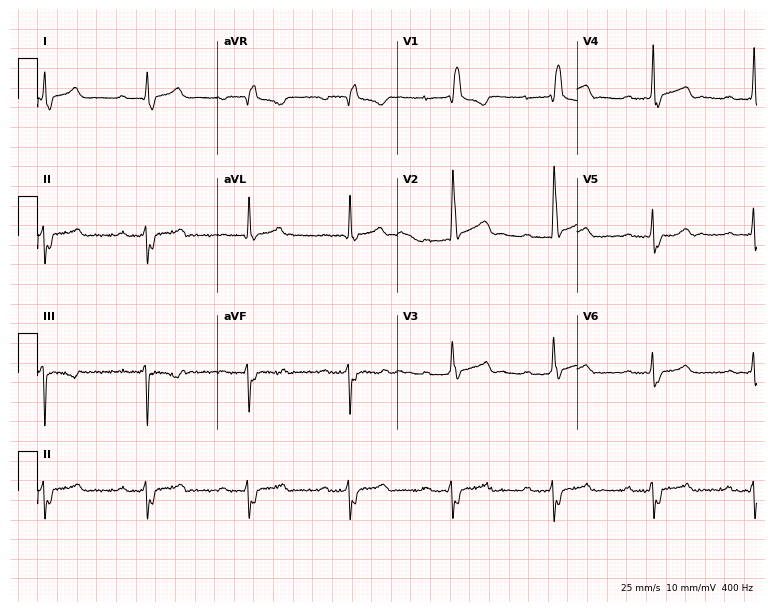
12-lead ECG from a 35-year-old man. Findings include first-degree AV block, right bundle branch block.